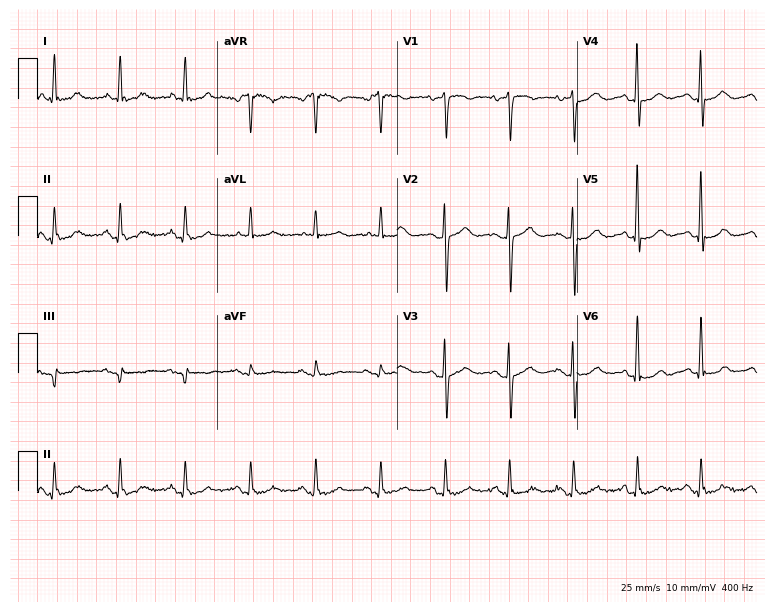
Resting 12-lead electrocardiogram (7.3-second recording at 400 Hz). Patient: an 83-year-old female. Read as a normal ECG.